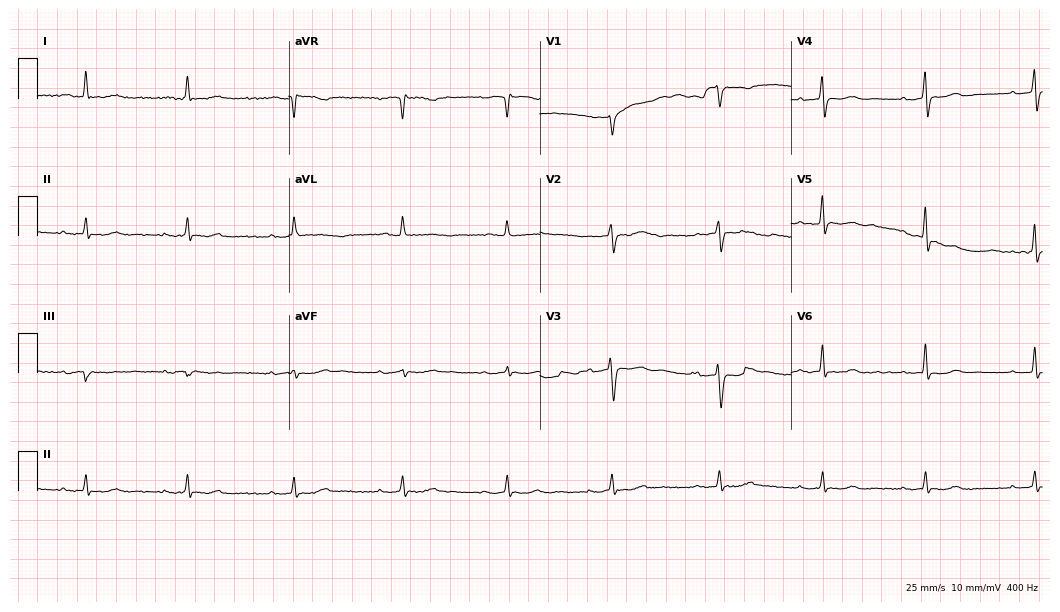
12-lead ECG from an 81-year-old female. Screened for six findings — first-degree AV block, right bundle branch block, left bundle branch block, sinus bradycardia, atrial fibrillation, sinus tachycardia — none is recorded.